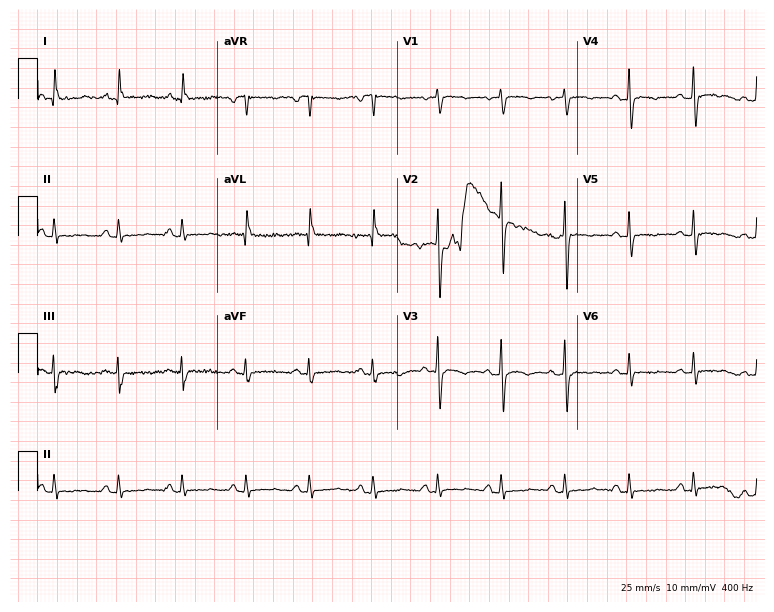
Resting 12-lead electrocardiogram. Patient: a 45-year-old man. None of these six findings is recorded: first-degree AV block, right bundle branch block, left bundle branch block, sinus bradycardia, atrial fibrillation, sinus tachycardia.